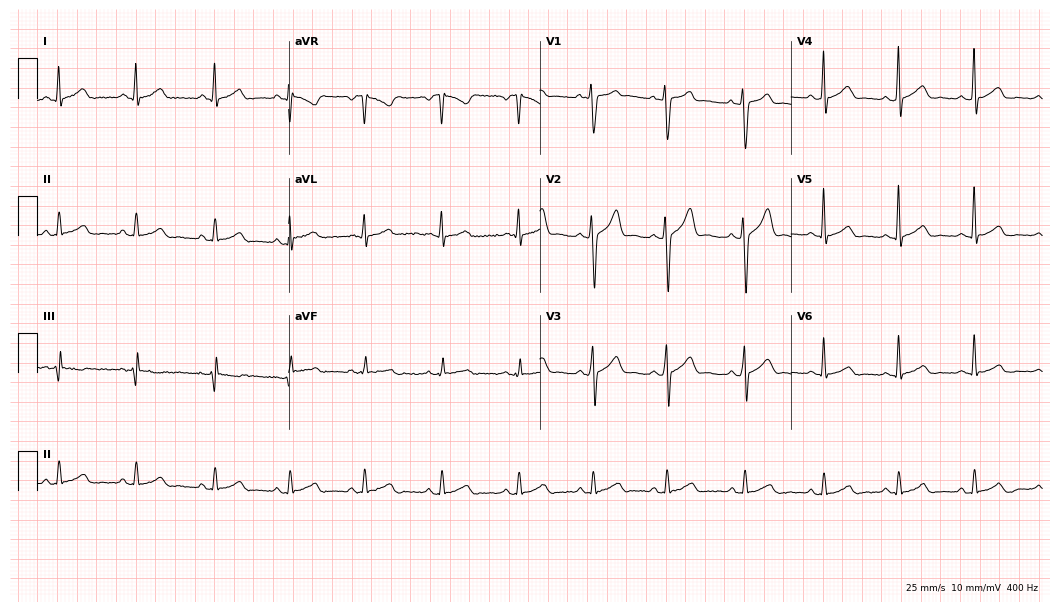
Electrocardiogram (10.2-second recording at 400 Hz), a 22-year-old man. Of the six screened findings (first-degree AV block, right bundle branch block, left bundle branch block, sinus bradycardia, atrial fibrillation, sinus tachycardia), none is recorded.